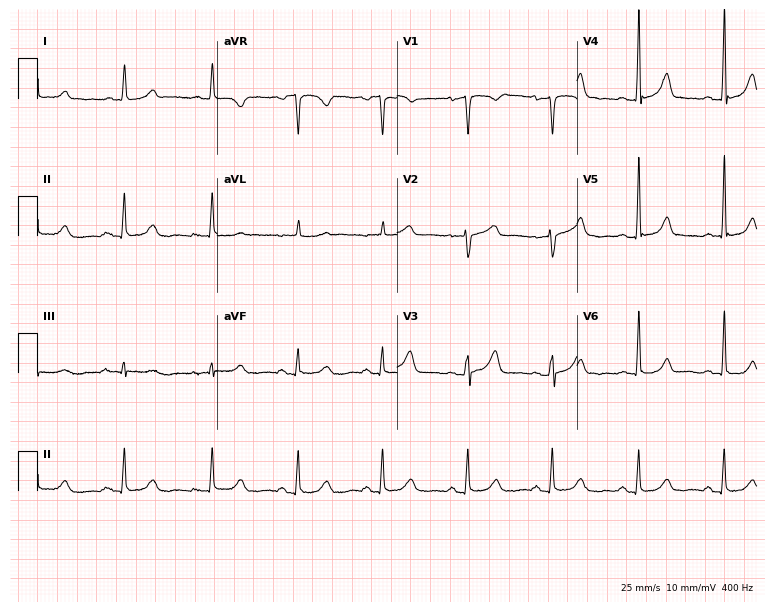
Resting 12-lead electrocardiogram (7.3-second recording at 400 Hz). Patient: a female, 57 years old. None of these six findings is recorded: first-degree AV block, right bundle branch block, left bundle branch block, sinus bradycardia, atrial fibrillation, sinus tachycardia.